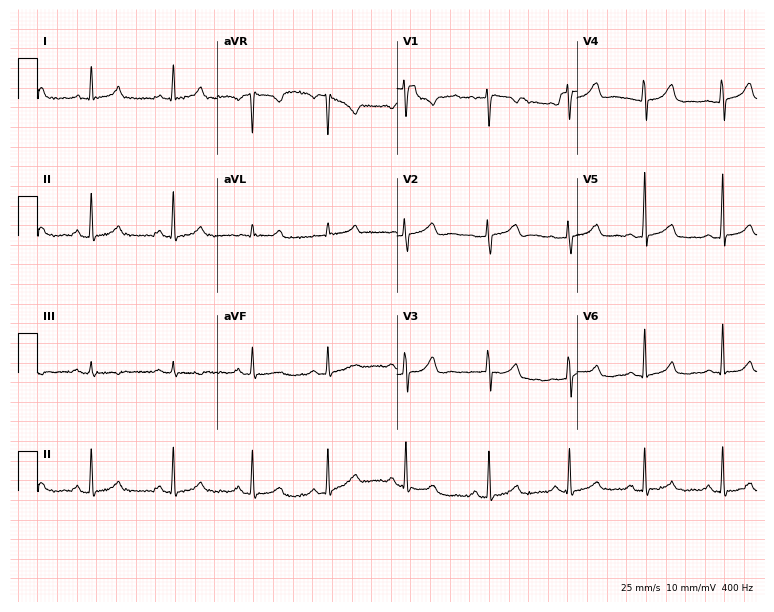
ECG — a female patient, 35 years old. Labelled as a normal ECG.